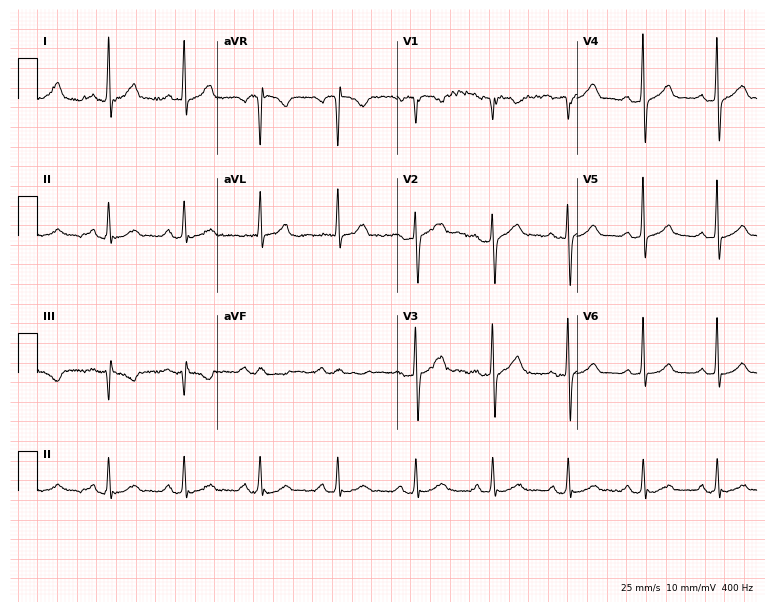
12-lead ECG (7.3-second recording at 400 Hz) from a male patient, 55 years old. Labelled as a normal ECG.